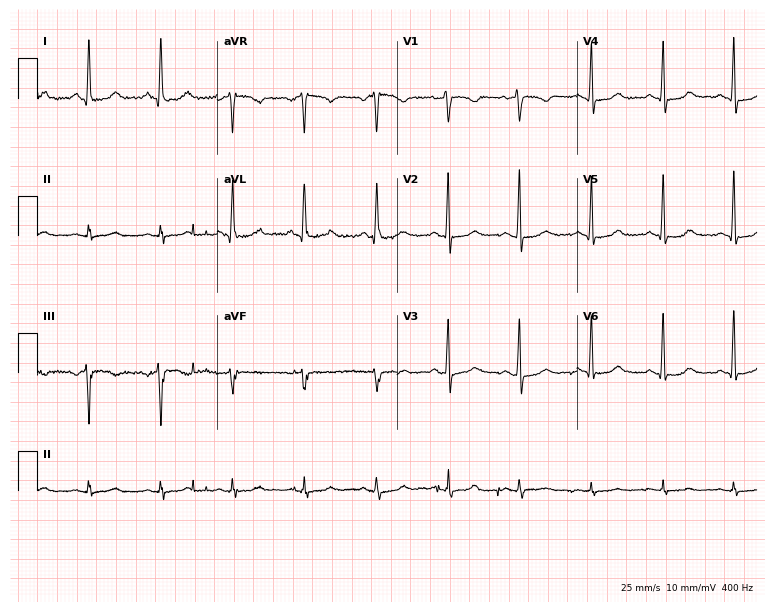
12-lead ECG from a 59-year-old female patient (7.3-second recording at 400 Hz). Recorded interpretation: within normal limits.